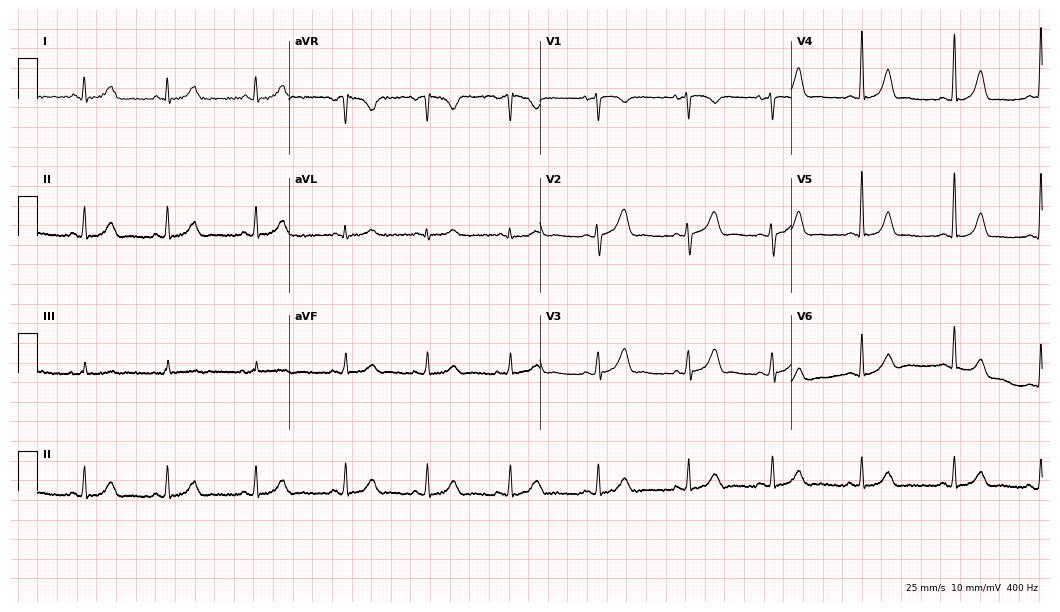
Electrocardiogram, a woman, 35 years old. Overall reading on record: normal ECG.